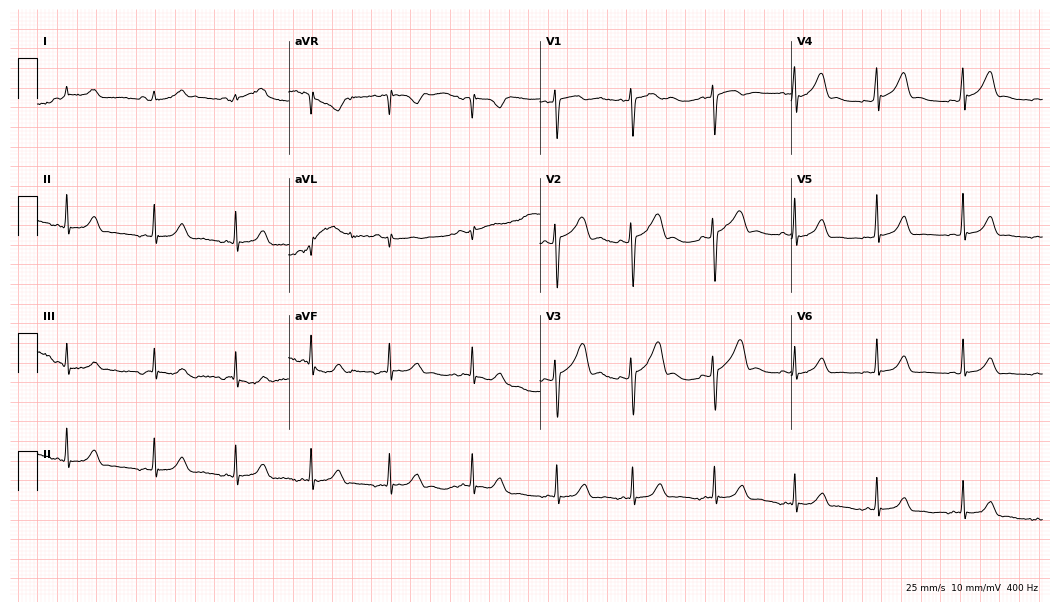
ECG (10.2-second recording at 400 Hz) — a woman, 38 years old. Screened for six findings — first-degree AV block, right bundle branch block, left bundle branch block, sinus bradycardia, atrial fibrillation, sinus tachycardia — none is recorded. Findings outside these six are not listed.